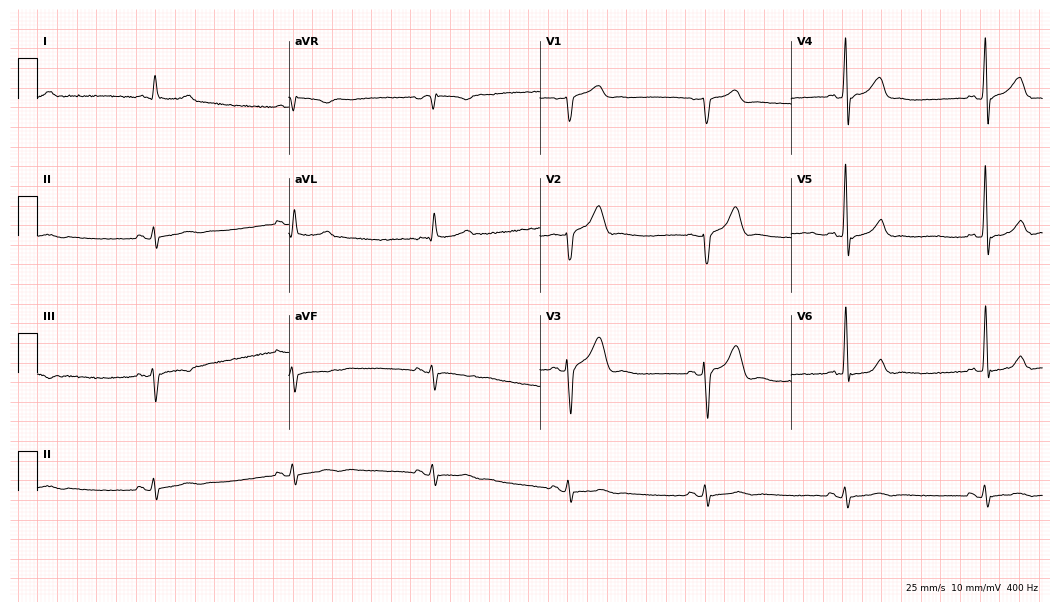
12-lead ECG (10.2-second recording at 400 Hz) from a male, 61 years old. Findings include sinus bradycardia (a sinus rate of 50 beats per minute or less).